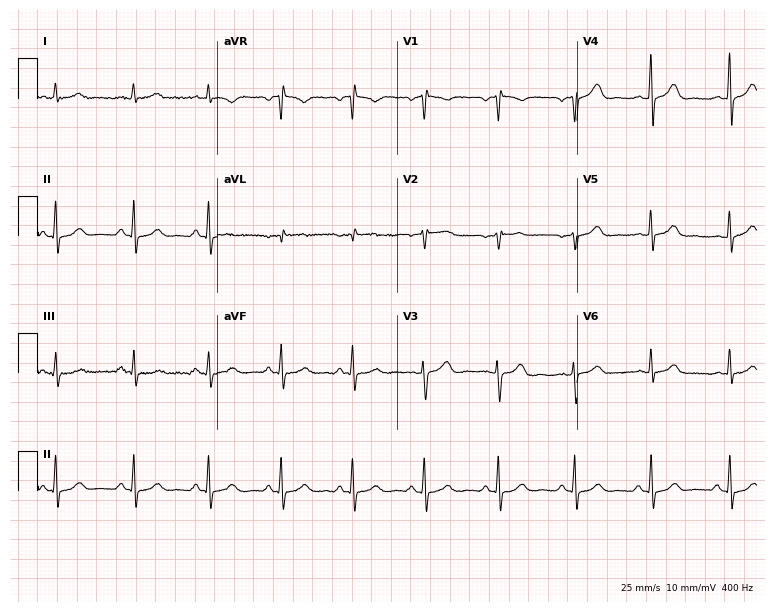
Resting 12-lead electrocardiogram. Patient: a woman, 41 years old. Read as a normal ECG.